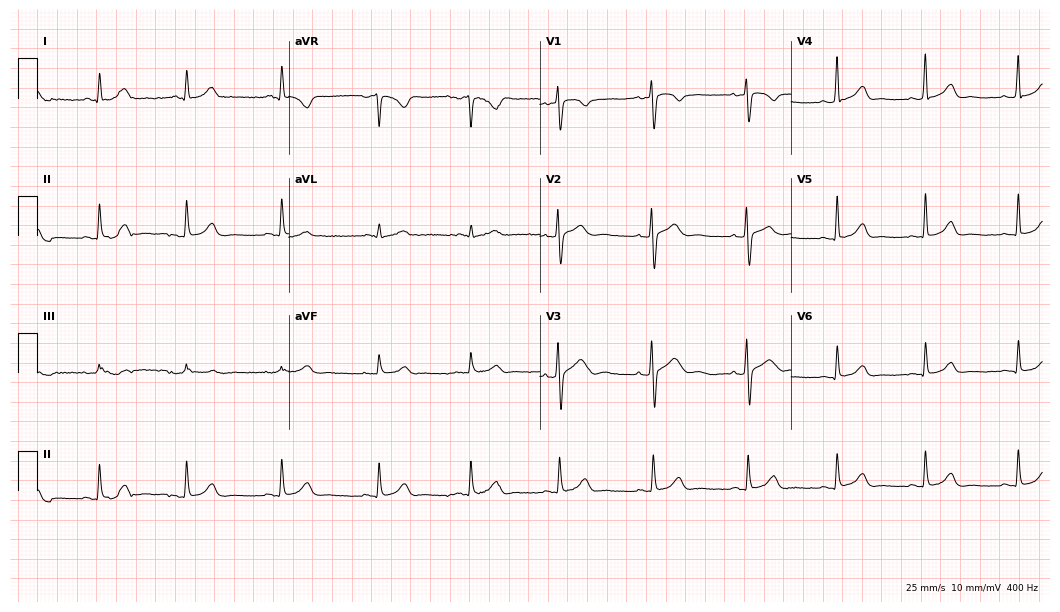
12-lead ECG from a 19-year-old female patient. Screened for six findings — first-degree AV block, right bundle branch block, left bundle branch block, sinus bradycardia, atrial fibrillation, sinus tachycardia — none is recorded.